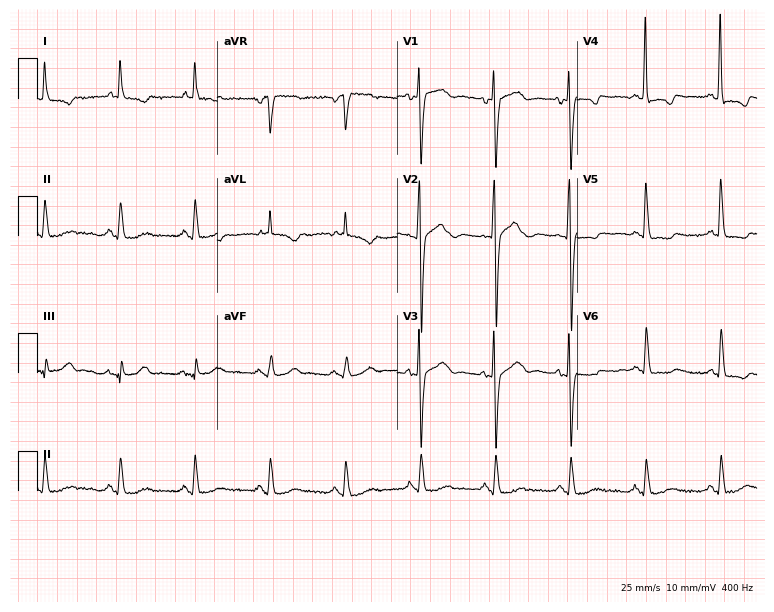
Resting 12-lead electrocardiogram. Patient: an 85-year-old female. None of these six findings is recorded: first-degree AV block, right bundle branch block, left bundle branch block, sinus bradycardia, atrial fibrillation, sinus tachycardia. Findings outside these six are not listed.